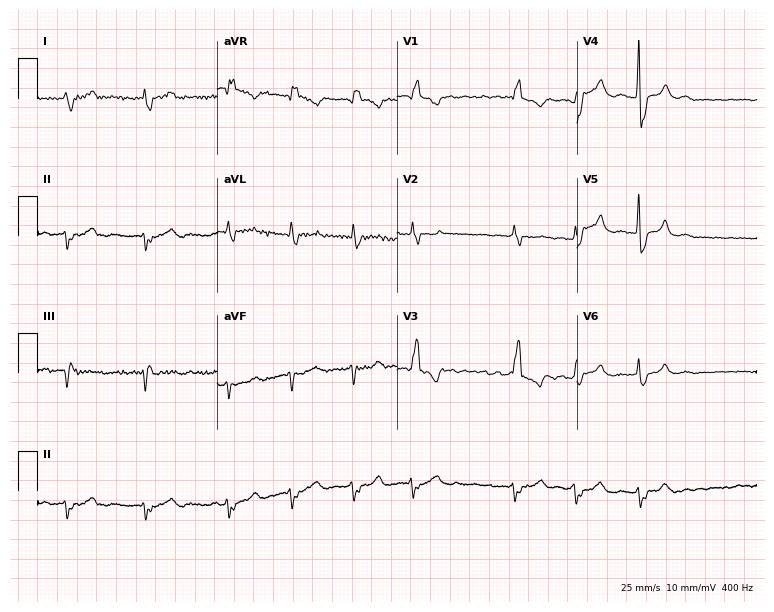
12-lead ECG (7.3-second recording at 400 Hz) from a 79-year-old male. Findings include right bundle branch block, atrial fibrillation.